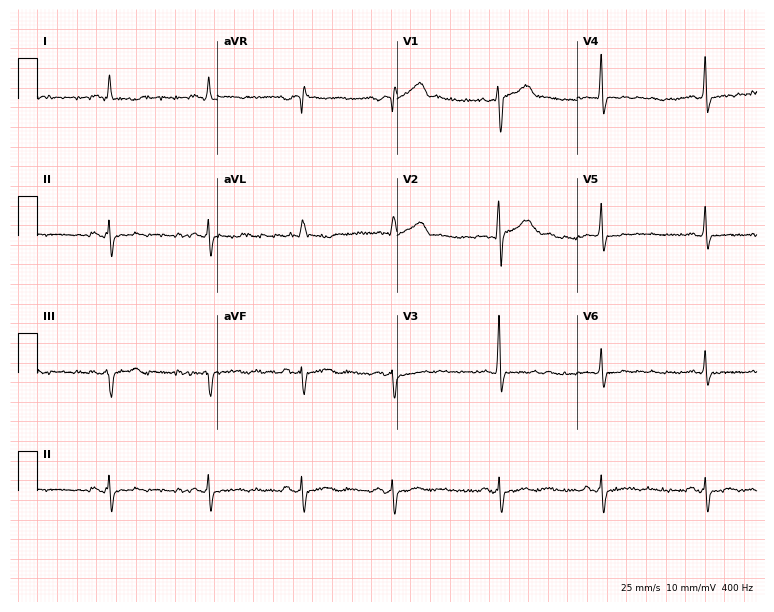
Standard 12-lead ECG recorded from a male, 65 years old. None of these six findings is recorded: first-degree AV block, right bundle branch block, left bundle branch block, sinus bradycardia, atrial fibrillation, sinus tachycardia. Other findings, if any, are not listed.